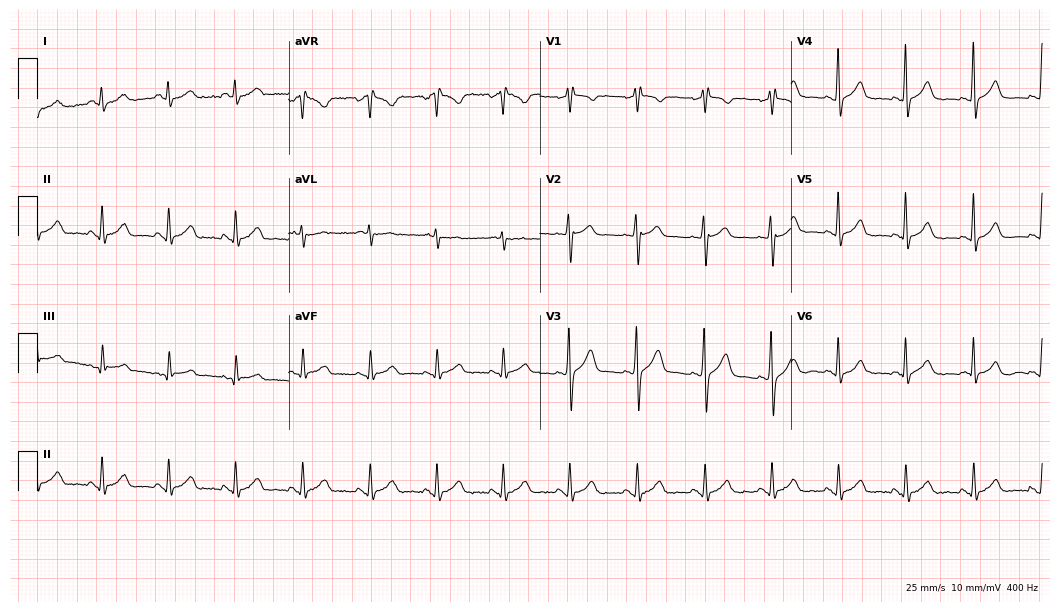
12-lead ECG from a 40-year-old woman. Screened for six findings — first-degree AV block, right bundle branch block, left bundle branch block, sinus bradycardia, atrial fibrillation, sinus tachycardia — none is recorded.